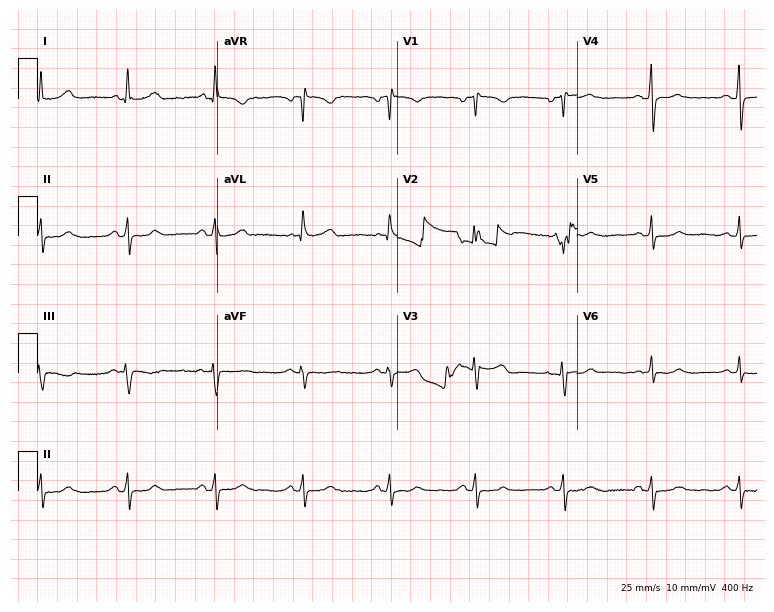
12-lead ECG from a female patient, 66 years old (7.3-second recording at 400 Hz). Recorded interpretation: within normal limits.